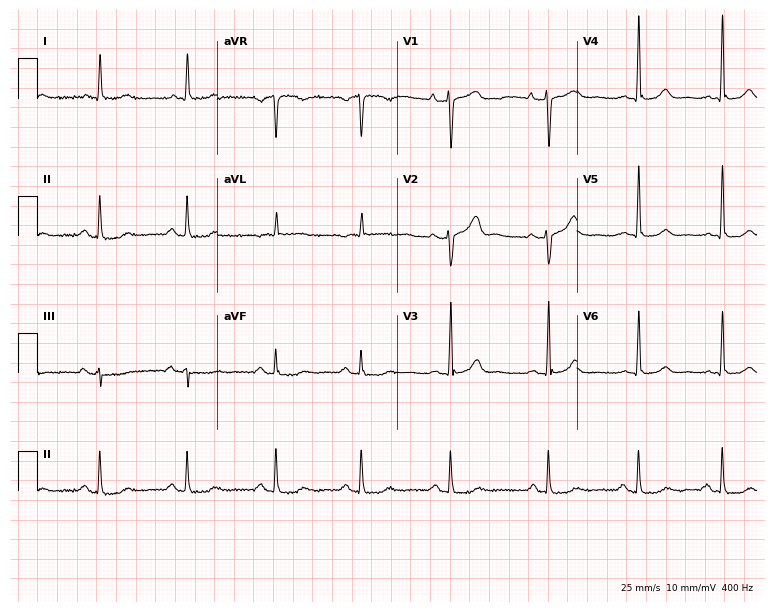
12-lead ECG from a 76-year-old female patient (7.3-second recording at 400 Hz). No first-degree AV block, right bundle branch block (RBBB), left bundle branch block (LBBB), sinus bradycardia, atrial fibrillation (AF) or sinus tachycardia recorded for this tracing. Findings outside these six are not listed.